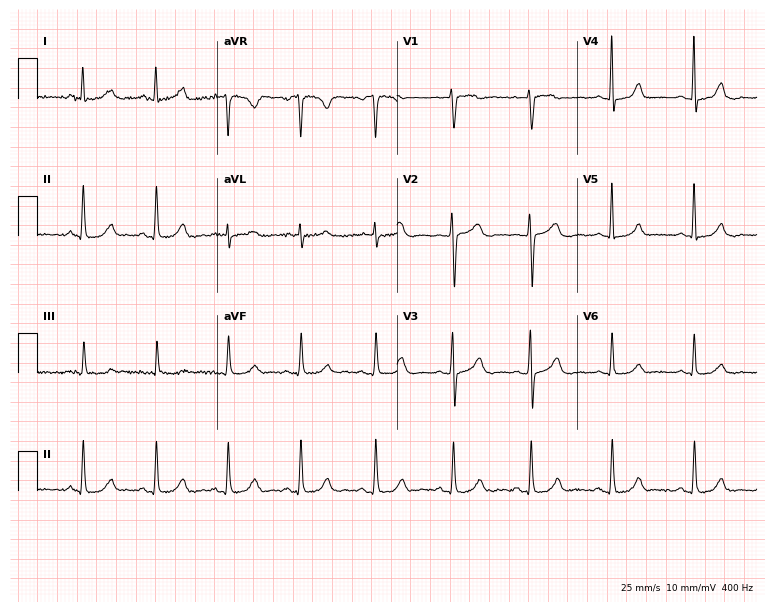
12-lead ECG from a female, 36 years old. Labelled as a normal ECG.